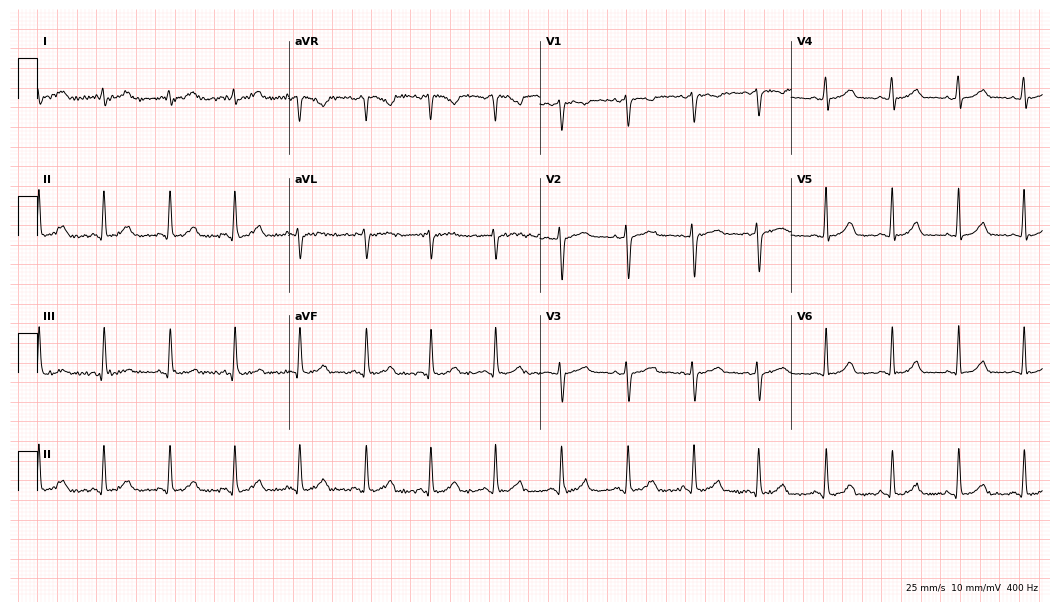
Resting 12-lead electrocardiogram (10.2-second recording at 400 Hz). Patient: a 30-year-old woman. Read as a normal ECG.